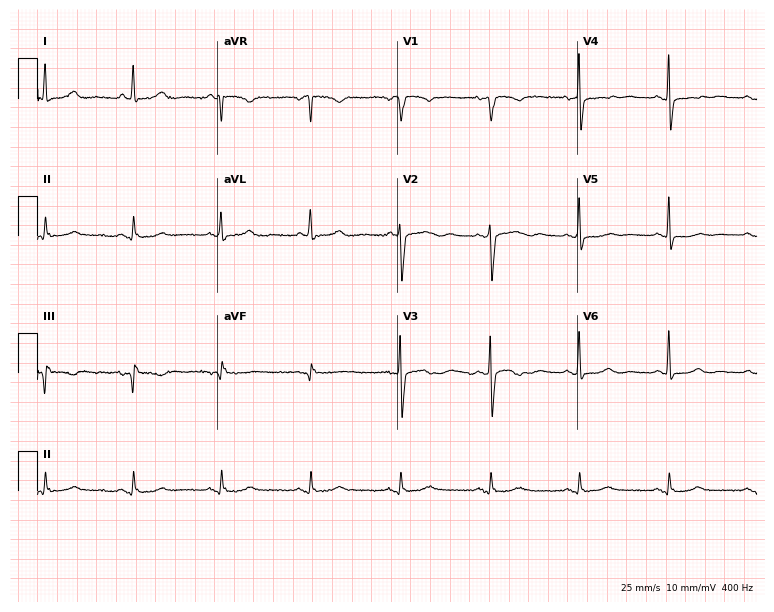
Standard 12-lead ECG recorded from a female patient, 69 years old. None of these six findings is recorded: first-degree AV block, right bundle branch block, left bundle branch block, sinus bradycardia, atrial fibrillation, sinus tachycardia.